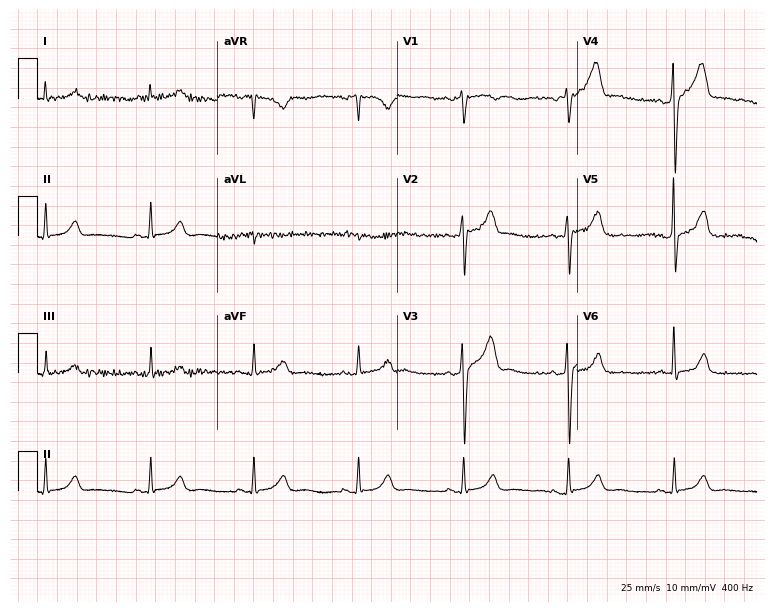
ECG — a male patient, 47 years old. Labelled as a normal ECG.